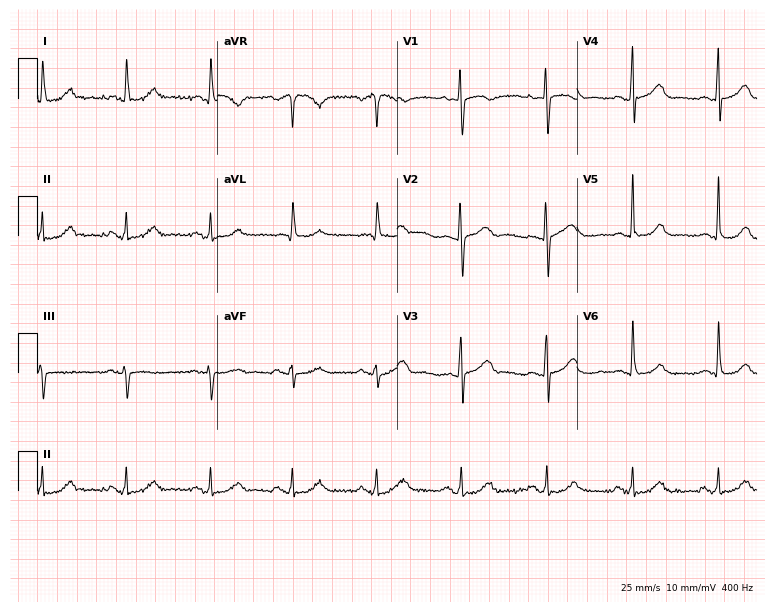
ECG — a 77-year-old female patient. Screened for six findings — first-degree AV block, right bundle branch block, left bundle branch block, sinus bradycardia, atrial fibrillation, sinus tachycardia — none is recorded. Findings outside these six are not listed.